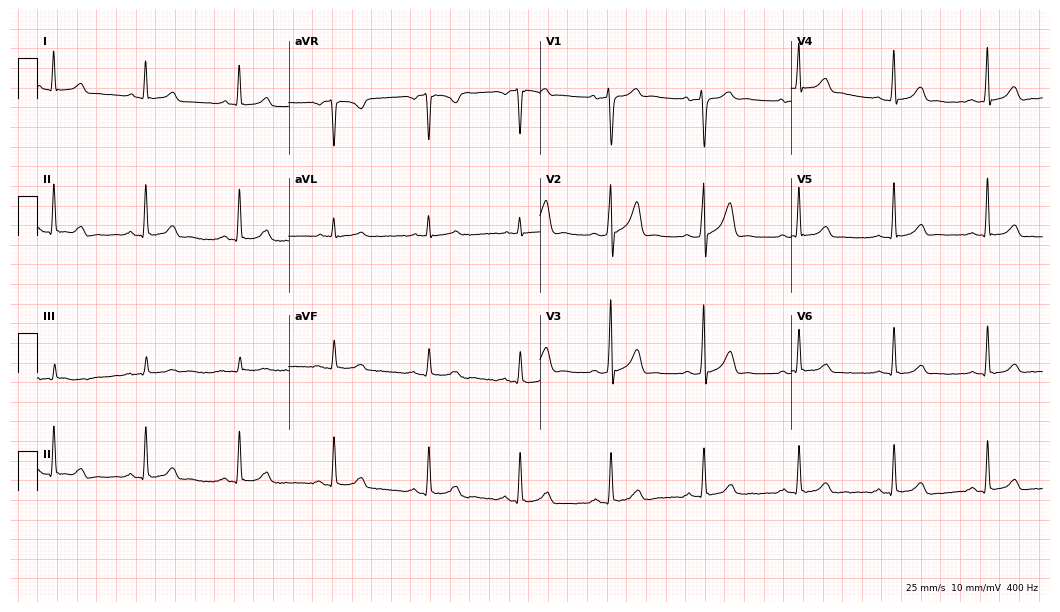
ECG (10.2-second recording at 400 Hz) — a male patient, 45 years old. Labelled as a normal ECG.